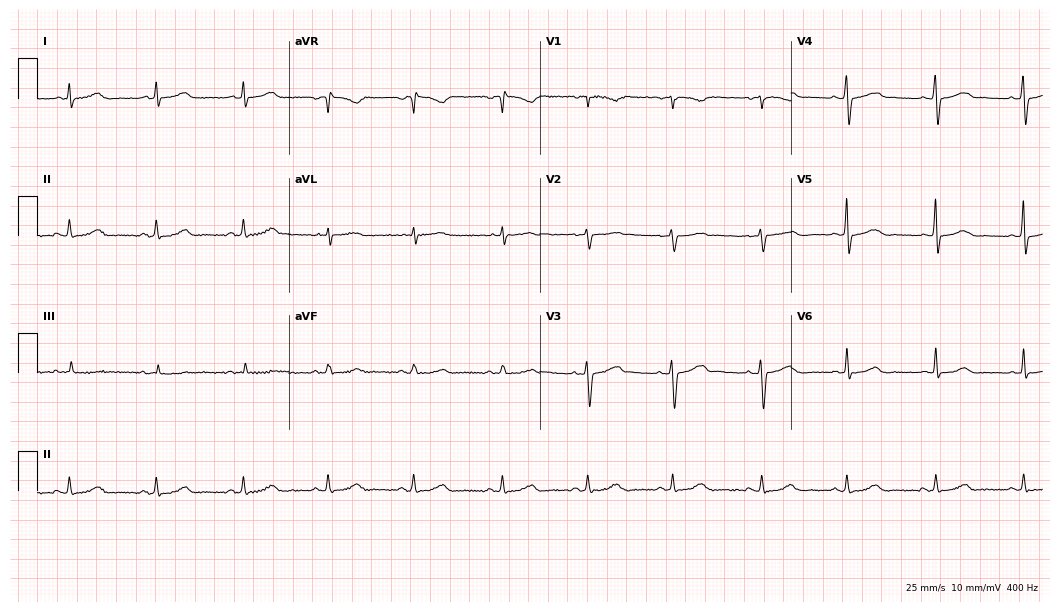
ECG (10.2-second recording at 400 Hz) — a woman, 37 years old. Labelled as a normal ECG.